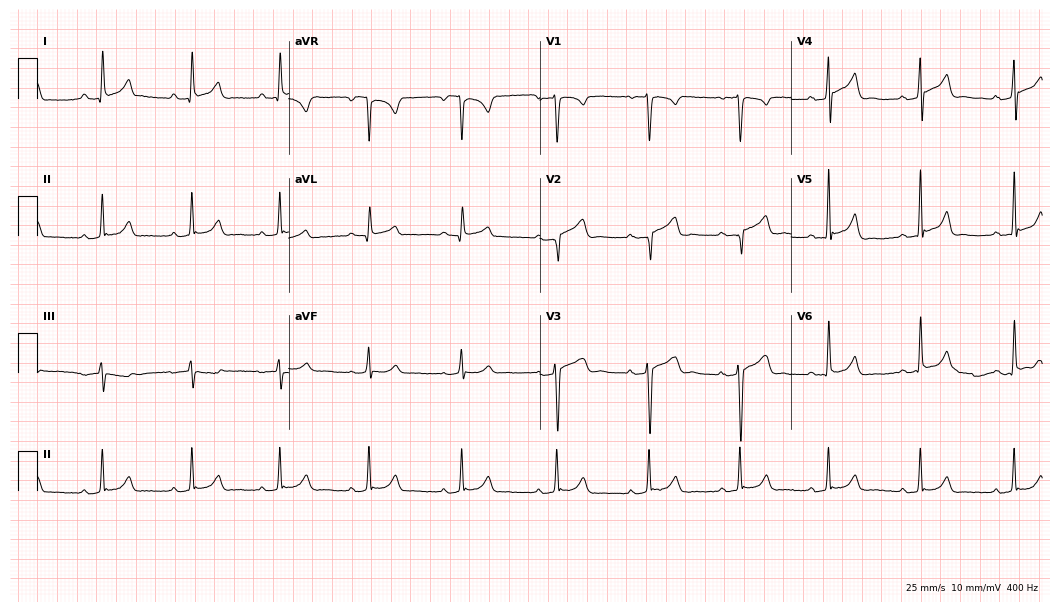
ECG (10.2-second recording at 400 Hz) — a female, 33 years old. Labelled as a normal ECG.